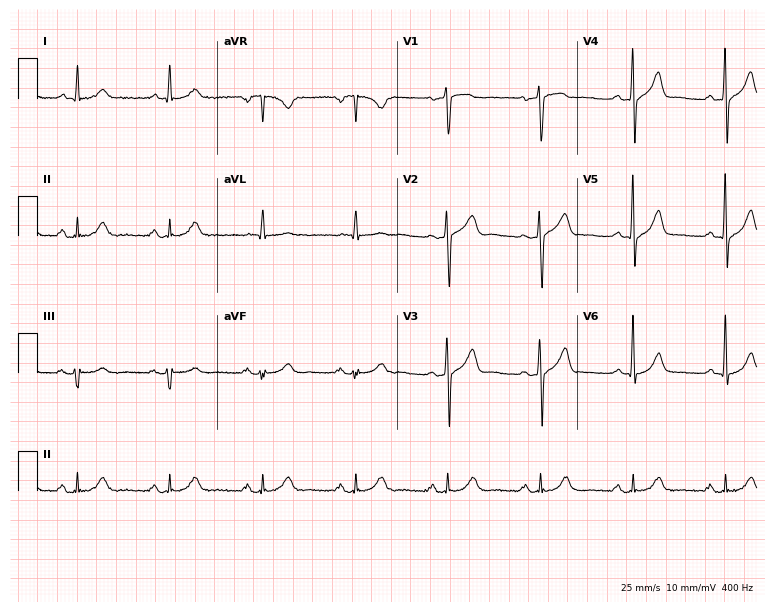
ECG — a 66-year-old male patient. Screened for six findings — first-degree AV block, right bundle branch block, left bundle branch block, sinus bradycardia, atrial fibrillation, sinus tachycardia — none is recorded.